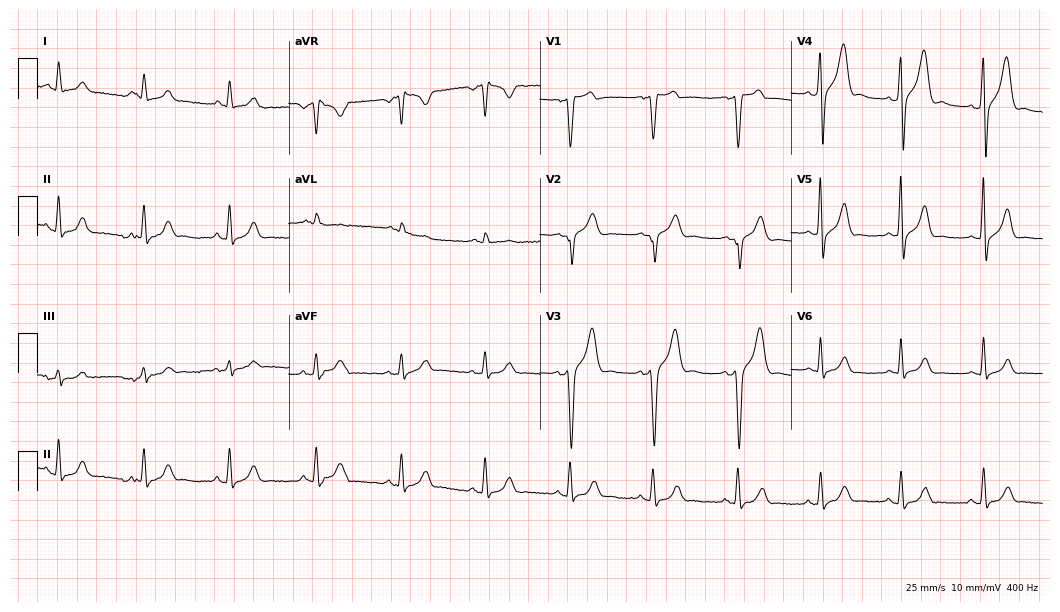
Resting 12-lead electrocardiogram. Patient: a male, 31 years old. Read as a normal ECG.